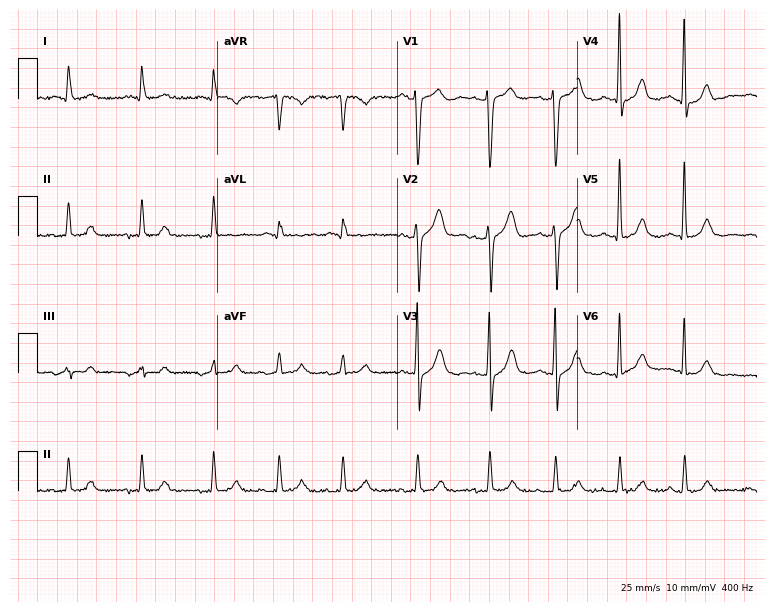
12-lead ECG (7.3-second recording at 400 Hz) from a 63-year-old man. Labelled as a normal ECG.